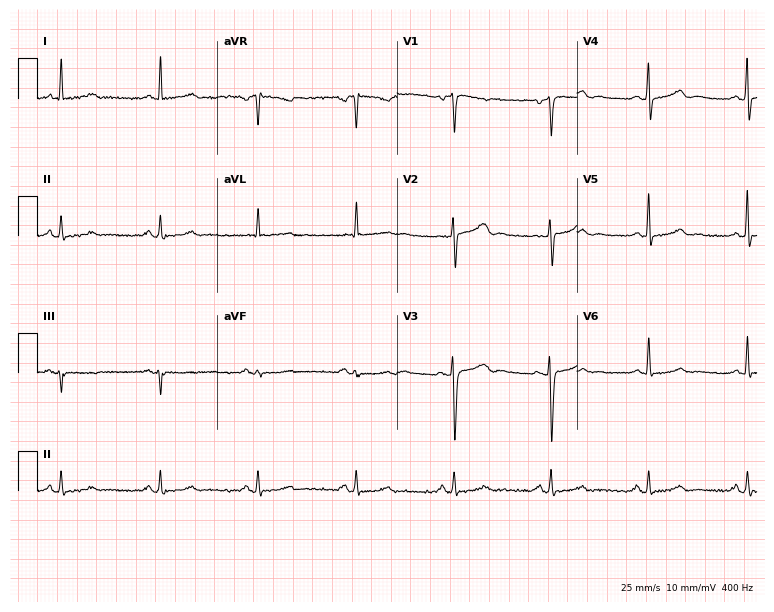
Resting 12-lead electrocardiogram (7.3-second recording at 400 Hz). Patient: a 46-year-old woman. None of these six findings is recorded: first-degree AV block, right bundle branch block (RBBB), left bundle branch block (LBBB), sinus bradycardia, atrial fibrillation (AF), sinus tachycardia. Only these six findings were labelled.